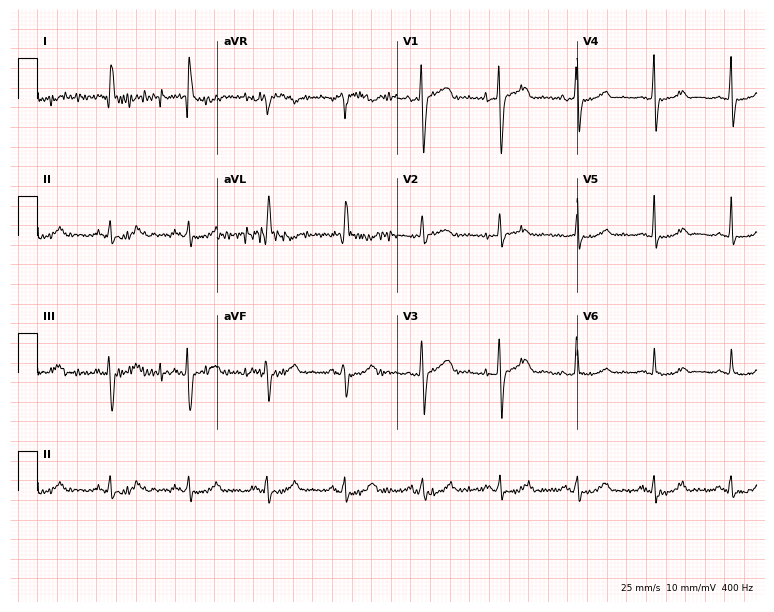
12-lead ECG from a female patient, 74 years old. Screened for six findings — first-degree AV block, right bundle branch block, left bundle branch block, sinus bradycardia, atrial fibrillation, sinus tachycardia — none is recorded. Findings outside these six are not listed.